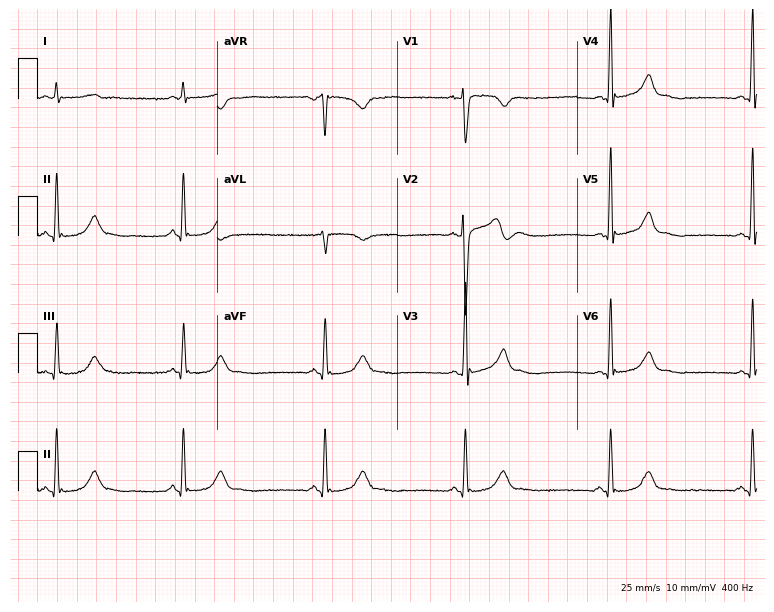
Resting 12-lead electrocardiogram. Patient: a 60-year-old male. None of these six findings is recorded: first-degree AV block, right bundle branch block, left bundle branch block, sinus bradycardia, atrial fibrillation, sinus tachycardia.